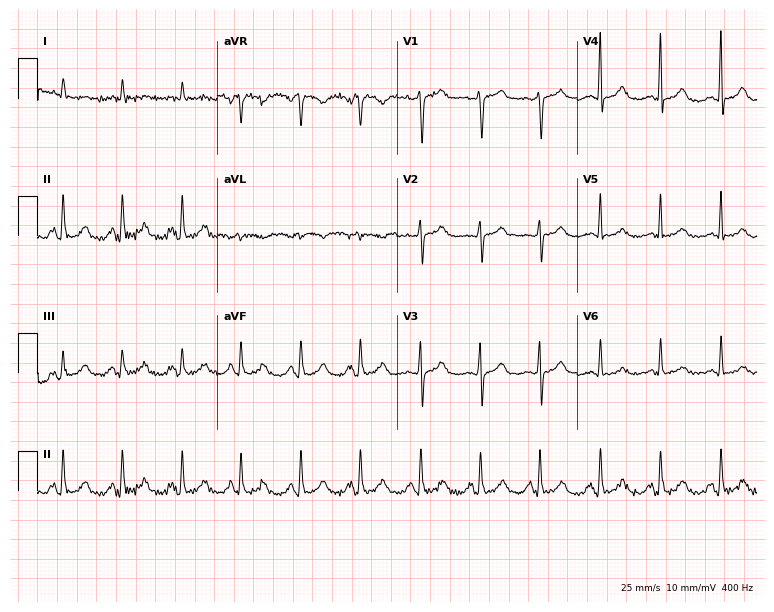
Standard 12-lead ECG recorded from a 77-year-old male (7.3-second recording at 400 Hz). None of these six findings is recorded: first-degree AV block, right bundle branch block, left bundle branch block, sinus bradycardia, atrial fibrillation, sinus tachycardia.